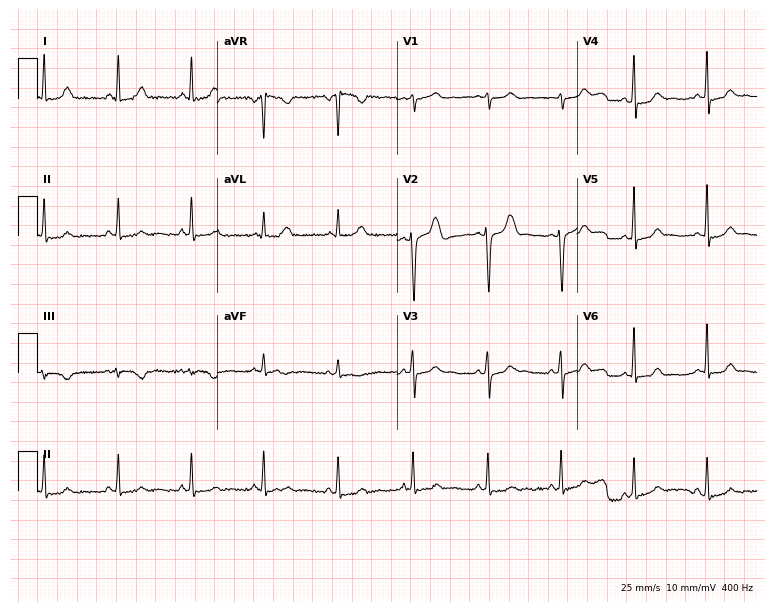
ECG (7.3-second recording at 400 Hz) — a female, 26 years old. Screened for six findings — first-degree AV block, right bundle branch block (RBBB), left bundle branch block (LBBB), sinus bradycardia, atrial fibrillation (AF), sinus tachycardia — none is recorded. Only these six findings were labelled.